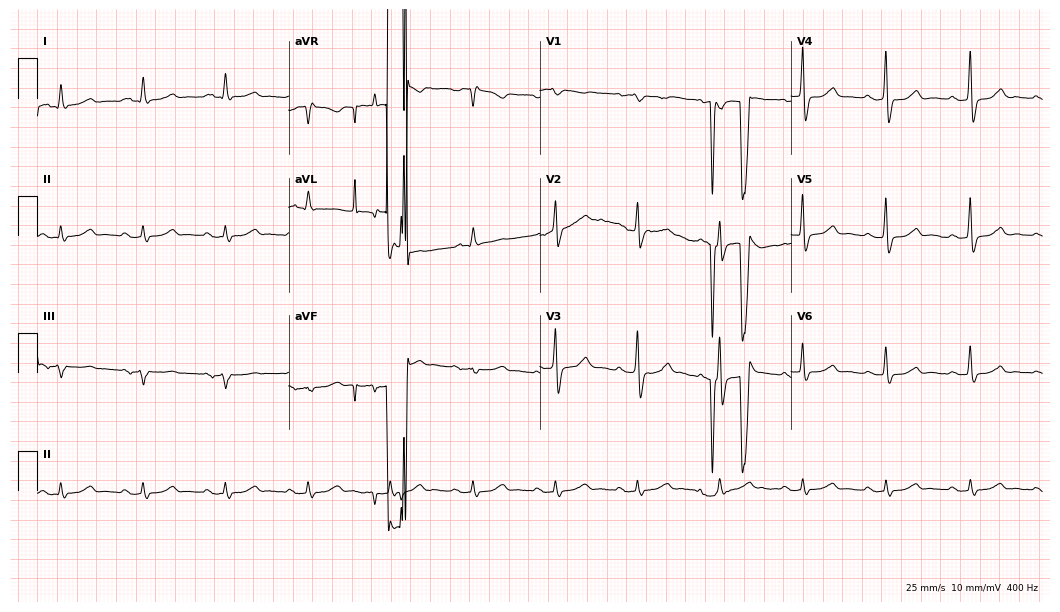
Resting 12-lead electrocardiogram (10.2-second recording at 400 Hz). Patient: a man, 77 years old. None of these six findings is recorded: first-degree AV block, right bundle branch block, left bundle branch block, sinus bradycardia, atrial fibrillation, sinus tachycardia.